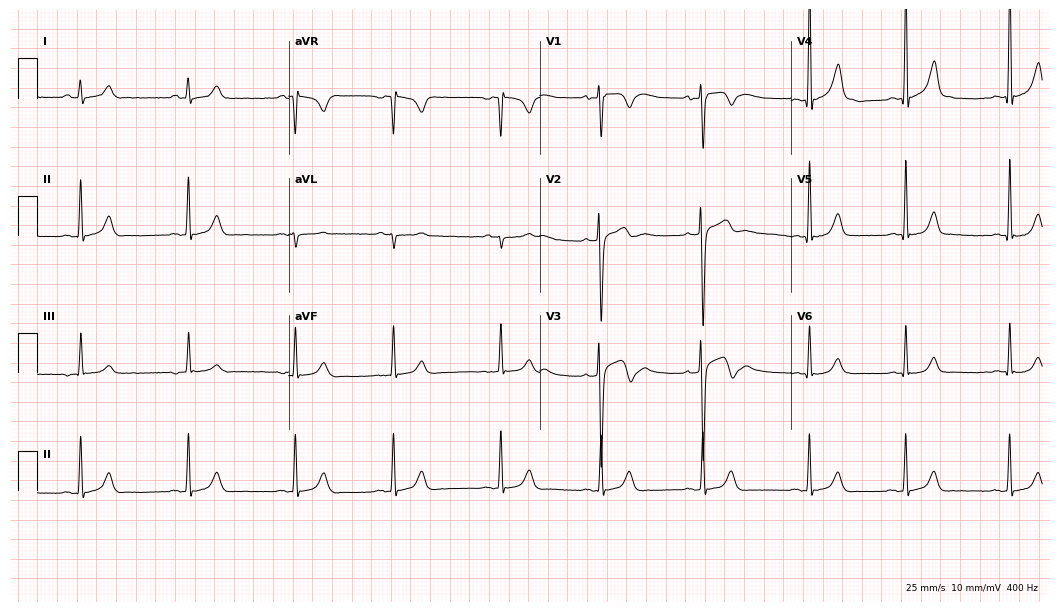
12-lead ECG from a male, 17 years old. Labelled as a normal ECG.